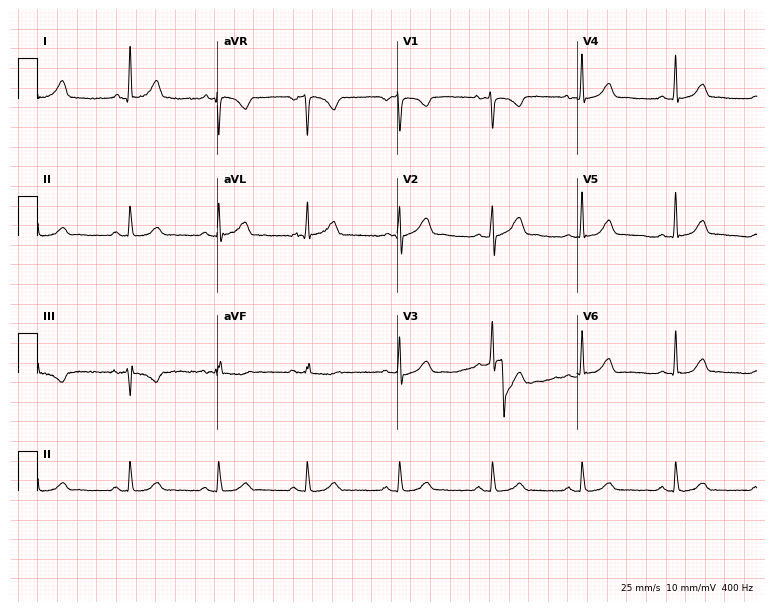
Standard 12-lead ECG recorded from a 25-year-old female patient. Read as a normal ECG.